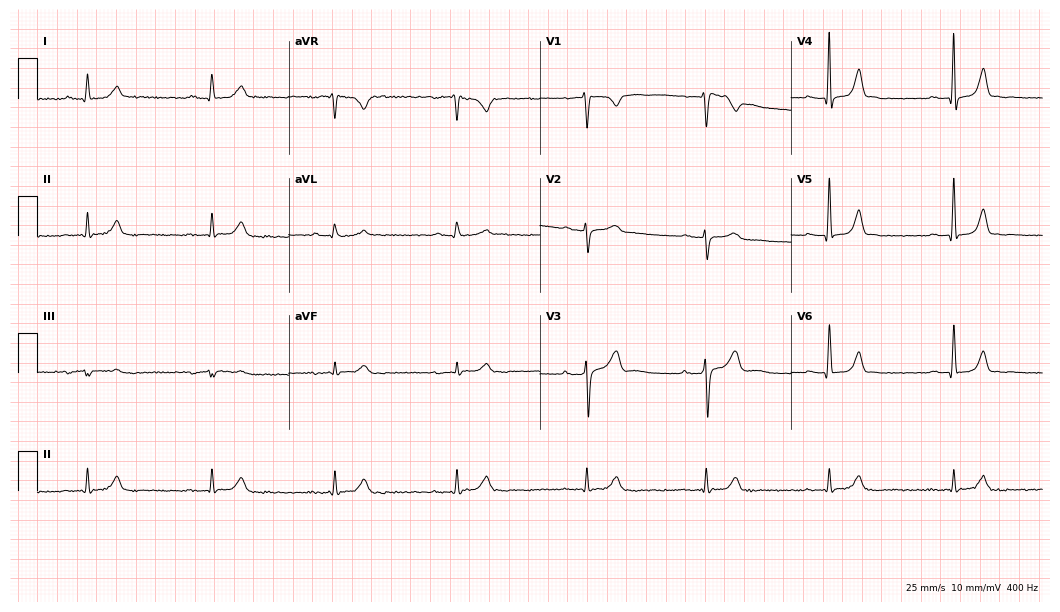
12-lead ECG from a 50-year-old man (10.2-second recording at 400 Hz). Shows sinus bradycardia (a sinus rate of 50 beats per minute or less).